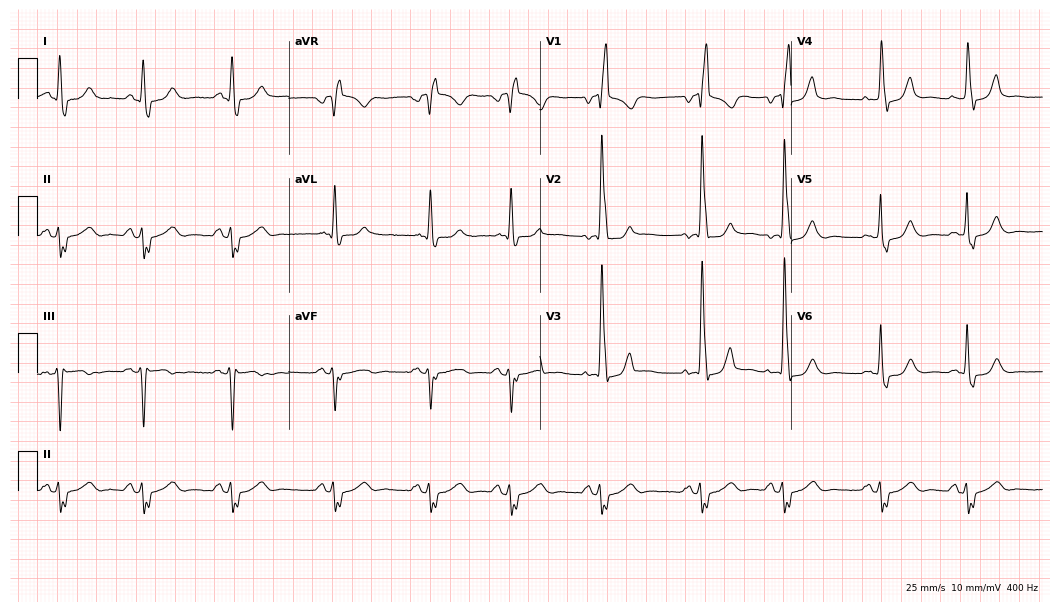
Standard 12-lead ECG recorded from a 71-year-old woman. The tracing shows right bundle branch block (RBBB).